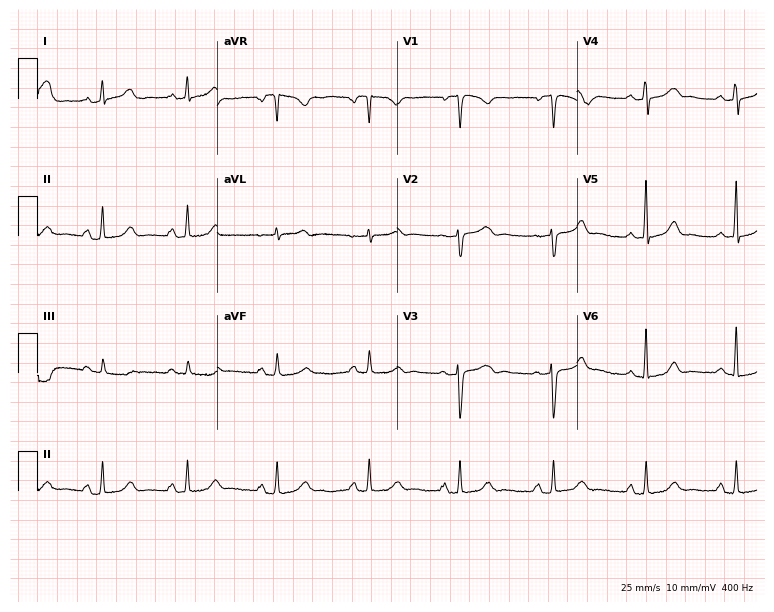
12-lead ECG from a 26-year-old woman. Recorded interpretation: within normal limits.